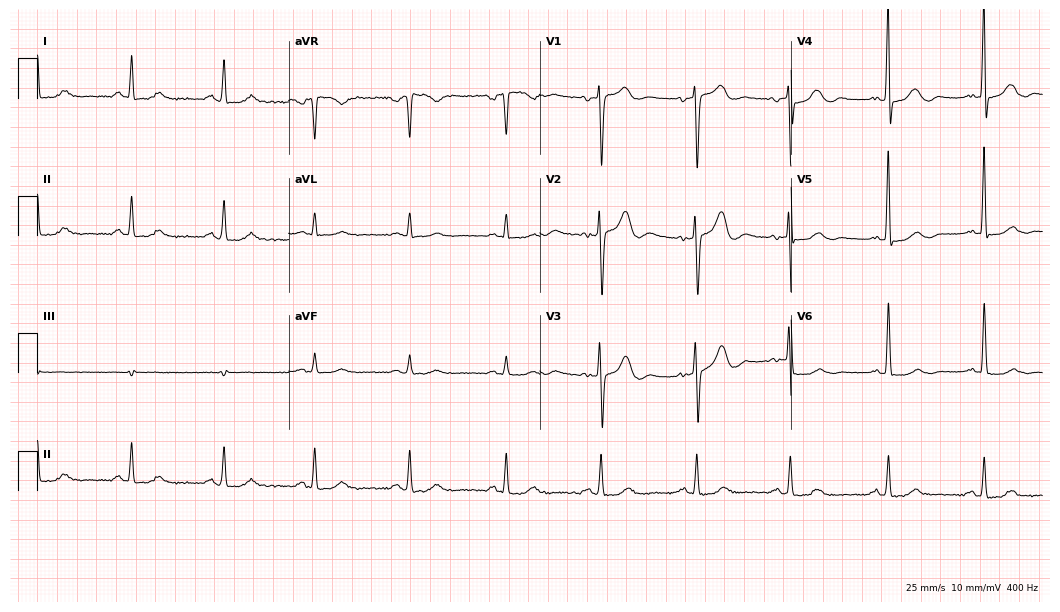
Electrocardiogram (10.2-second recording at 400 Hz), a woman, 79 years old. Overall reading on record: normal ECG.